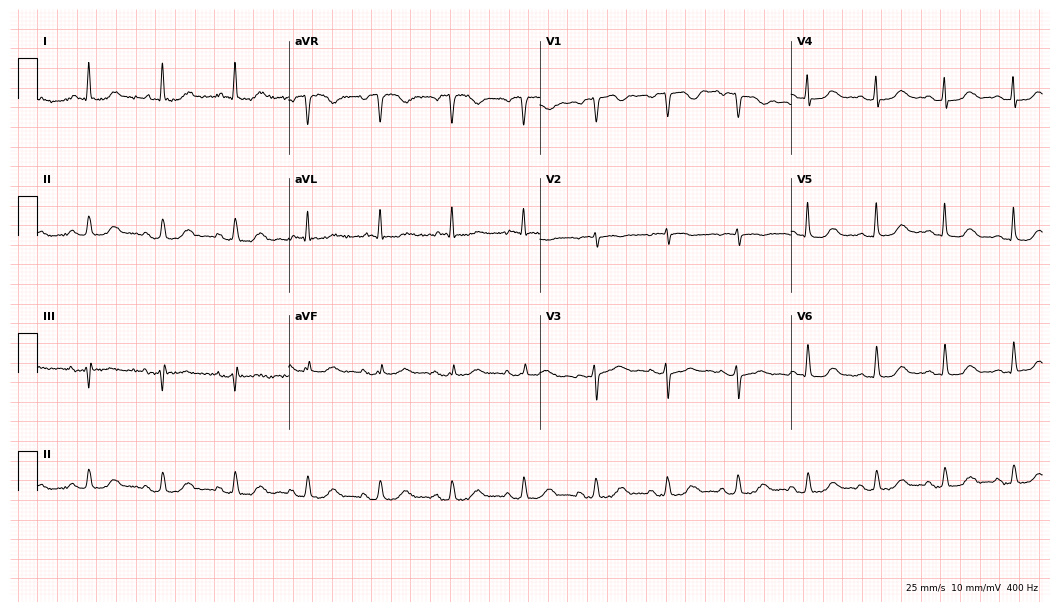
ECG (10.2-second recording at 400 Hz) — a 78-year-old female patient. Labelled as a normal ECG.